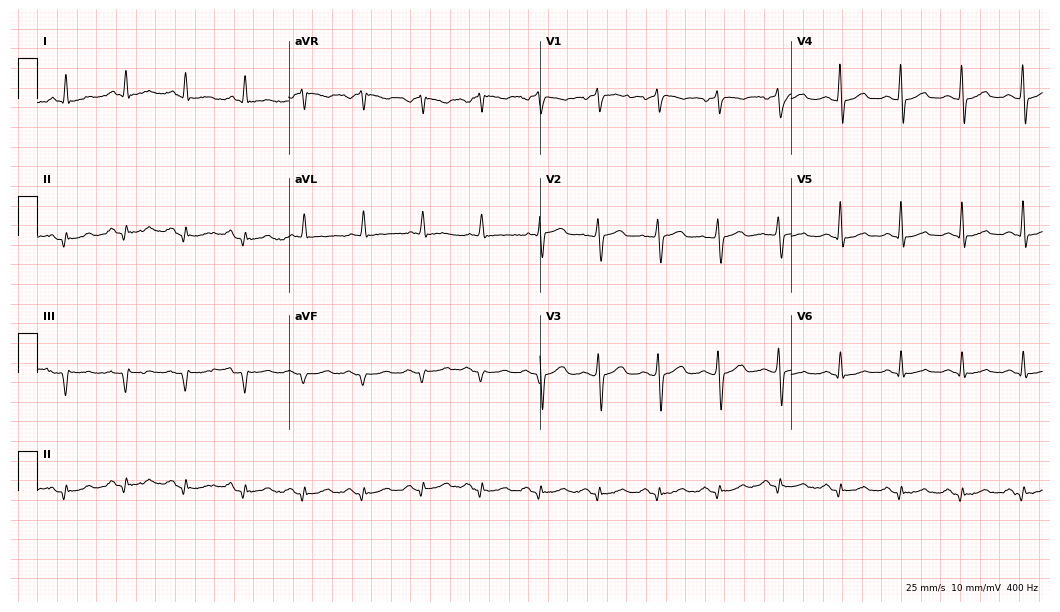
12-lead ECG (10.2-second recording at 400 Hz) from a man, 65 years old. Screened for six findings — first-degree AV block, right bundle branch block, left bundle branch block, sinus bradycardia, atrial fibrillation, sinus tachycardia — none is recorded. Only these six findings were labelled.